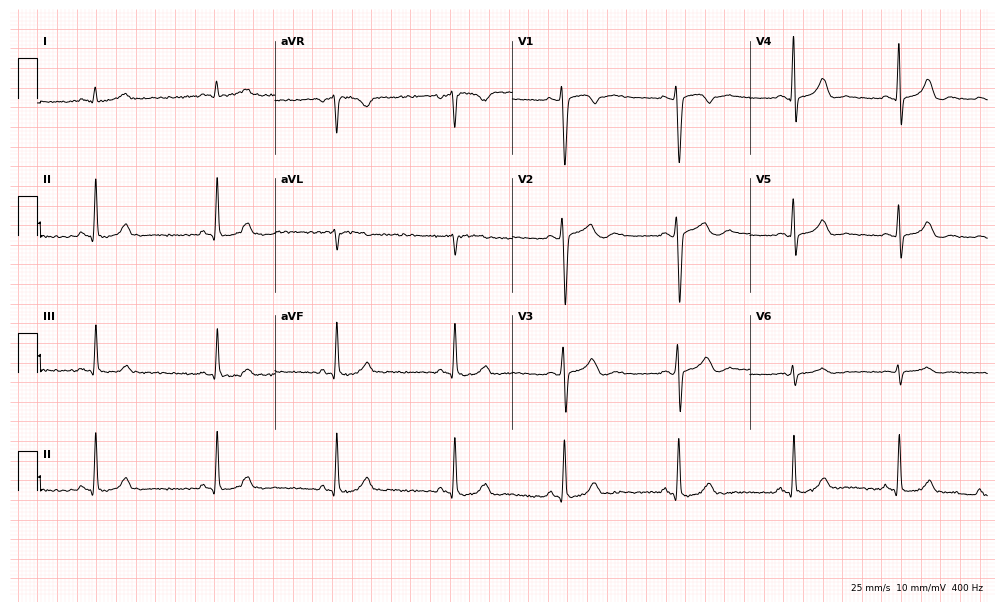
Resting 12-lead electrocardiogram (9.7-second recording at 400 Hz). Patient: a female, 38 years old. None of these six findings is recorded: first-degree AV block, right bundle branch block, left bundle branch block, sinus bradycardia, atrial fibrillation, sinus tachycardia.